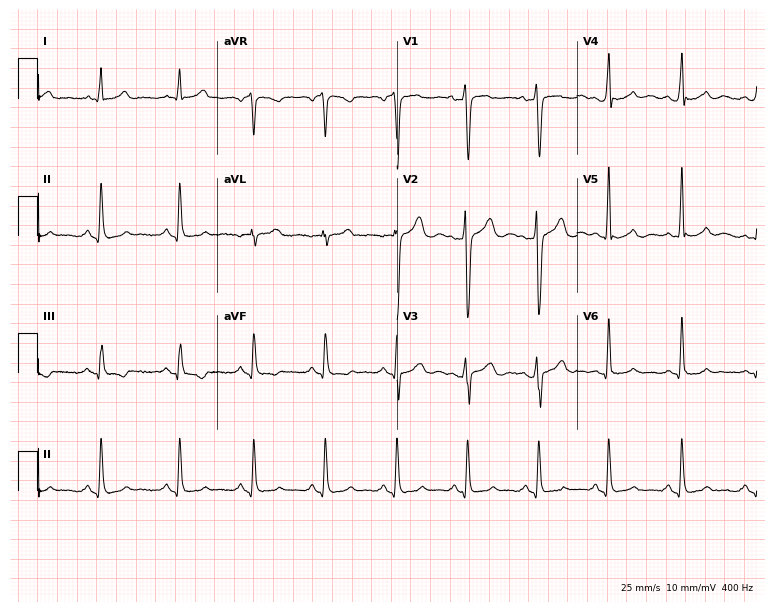
ECG — a man, 30 years old. Labelled as a normal ECG.